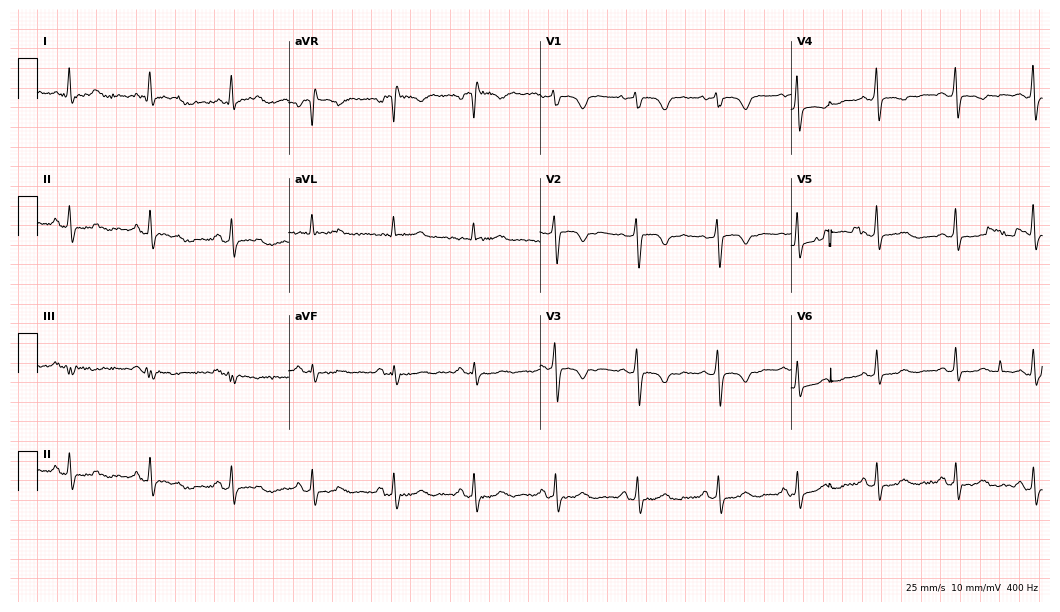
12-lead ECG from a female, 43 years old. Screened for six findings — first-degree AV block, right bundle branch block (RBBB), left bundle branch block (LBBB), sinus bradycardia, atrial fibrillation (AF), sinus tachycardia — none is recorded.